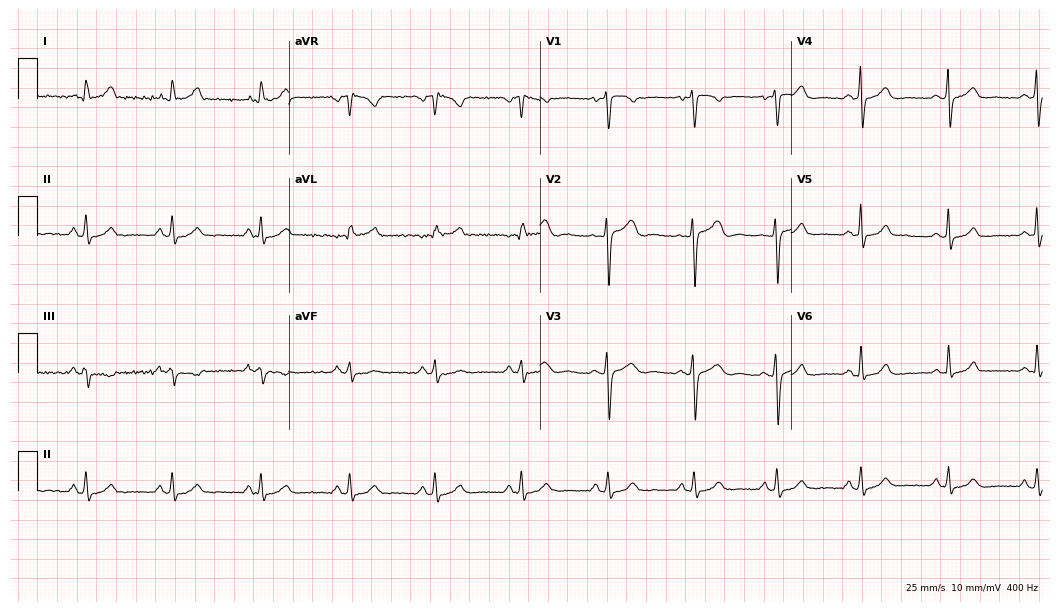
Resting 12-lead electrocardiogram. Patient: a 42-year-old female. Read as a normal ECG.